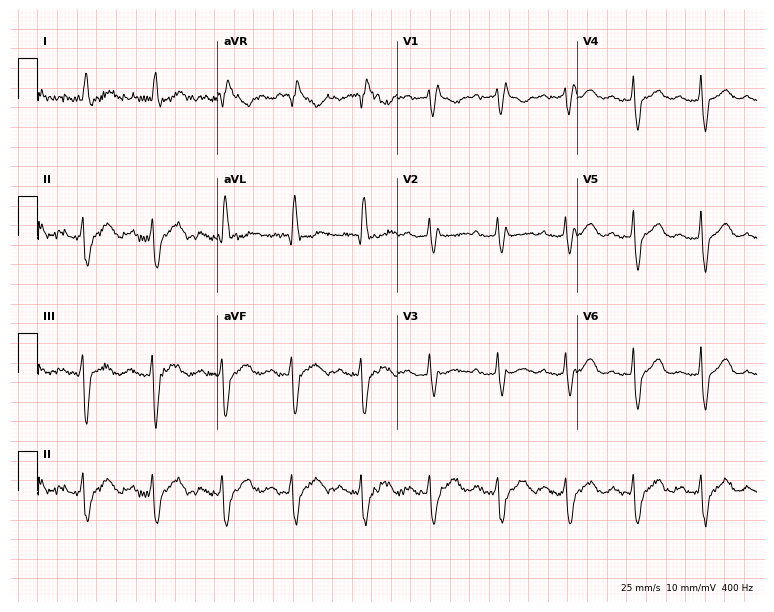
ECG (7.3-second recording at 400 Hz) — a 75-year-old woman. Findings include first-degree AV block, right bundle branch block.